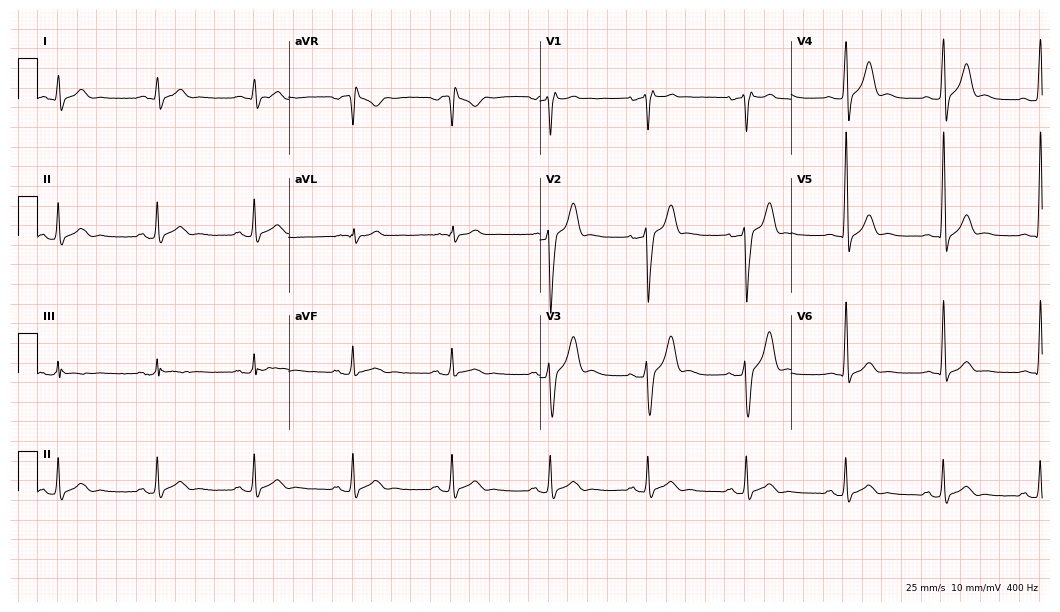
Resting 12-lead electrocardiogram. Patient: a 36-year-old man. None of these six findings is recorded: first-degree AV block, right bundle branch block, left bundle branch block, sinus bradycardia, atrial fibrillation, sinus tachycardia. Findings outside these six are not listed.